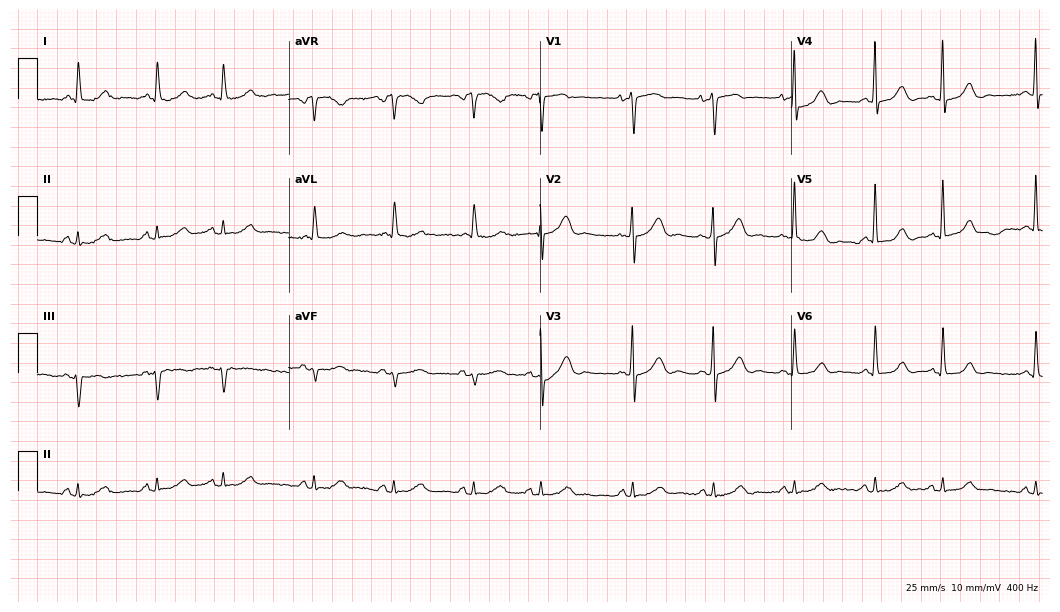
Electrocardiogram, a female patient, 74 years old. Overall reading on record: normal ECG.